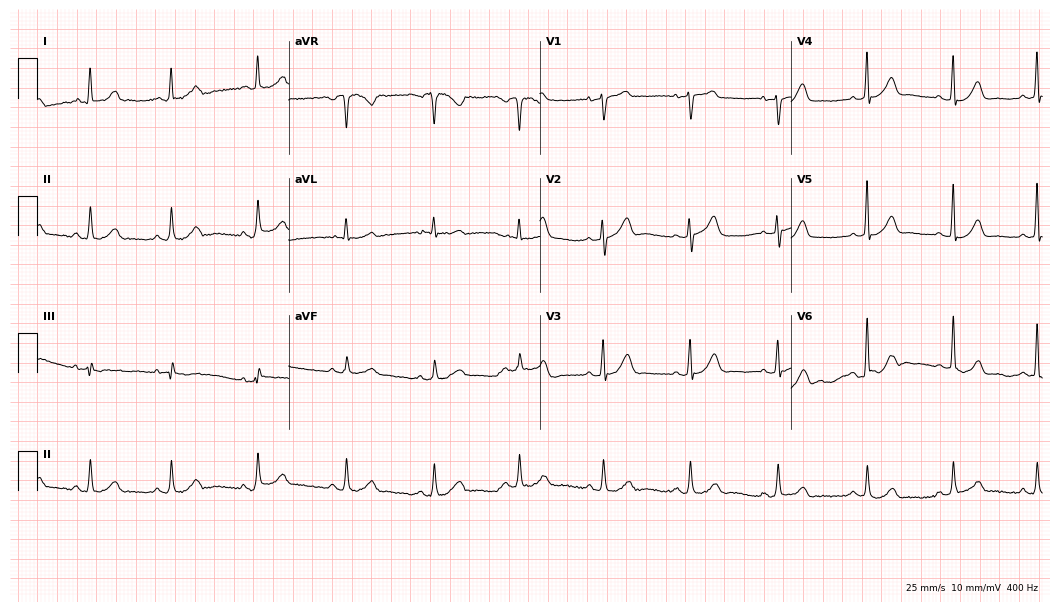
12-lead ECG from a woman, 76 years old (10.2-second recording at 400 Hz). Recorded interpretation: within normal limits.